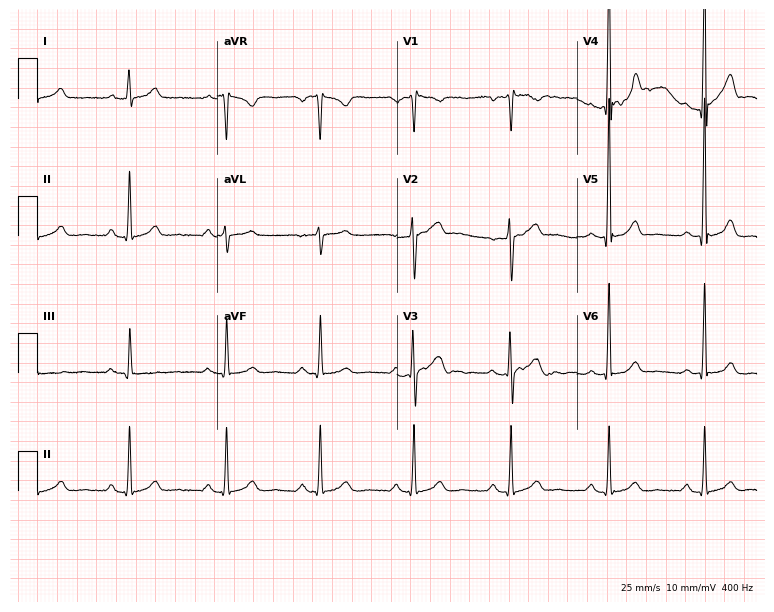
Resting 12-lead electrocardiogram (7.3-second recording at 400 Hz). Patient: a male, 48 years old. None of these six findings is recorded: first-degree AV block, right bundle branch block, left bundle branch block, sinus bradycardia, atrial fibrillation, sinus tachycardia.